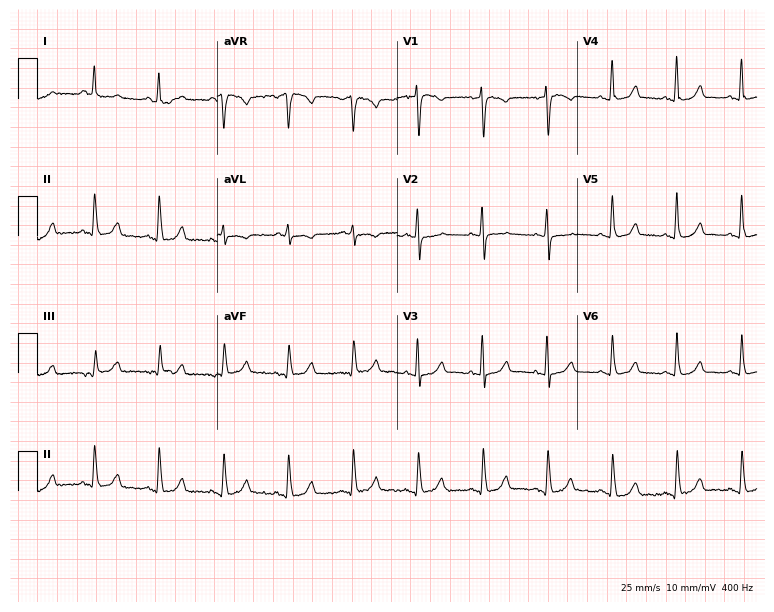
ECG — an 81-year-old female. Screened for six findings — first-degree AV block, right bundle branch block (RBBB), left bundle branch block (LBBB), sinus bradycardia, atrial fibrillation (AF), sinus tachycardia — none is recorded.